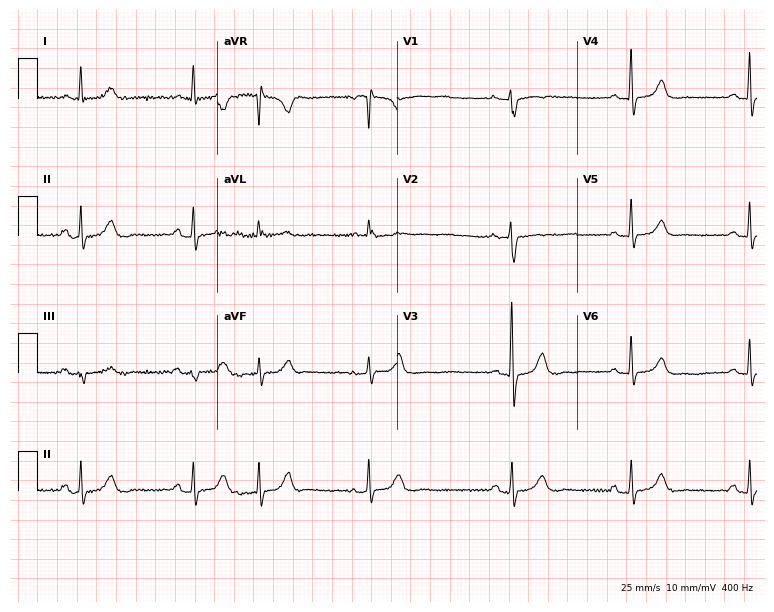
Standard 12-lead ECG recorded from a 73-year-old woman. None of these six findings is recorded: first-degree AV block, right bundle branch block, left bundle branch block, sinus bradycardia, atrial fibrillation, sinus tachycardia.